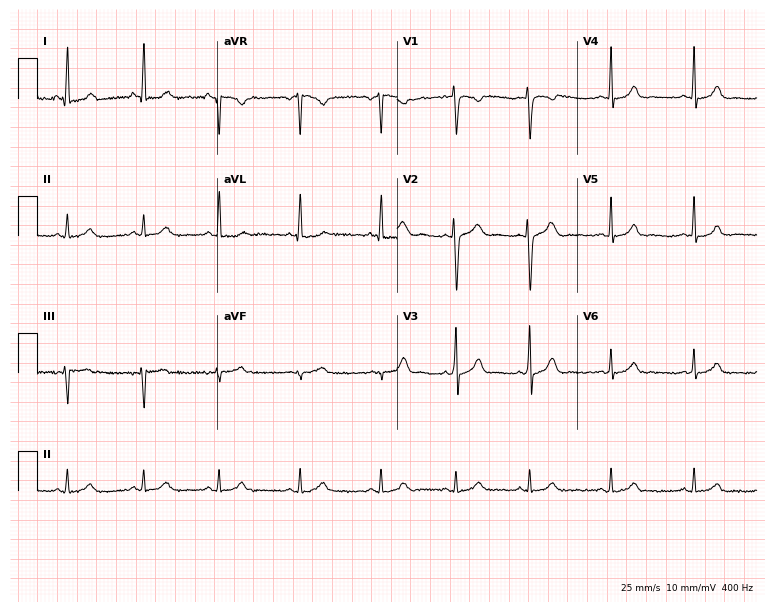
ECG — a female, 20 years old. Labelled as a normal ECG.